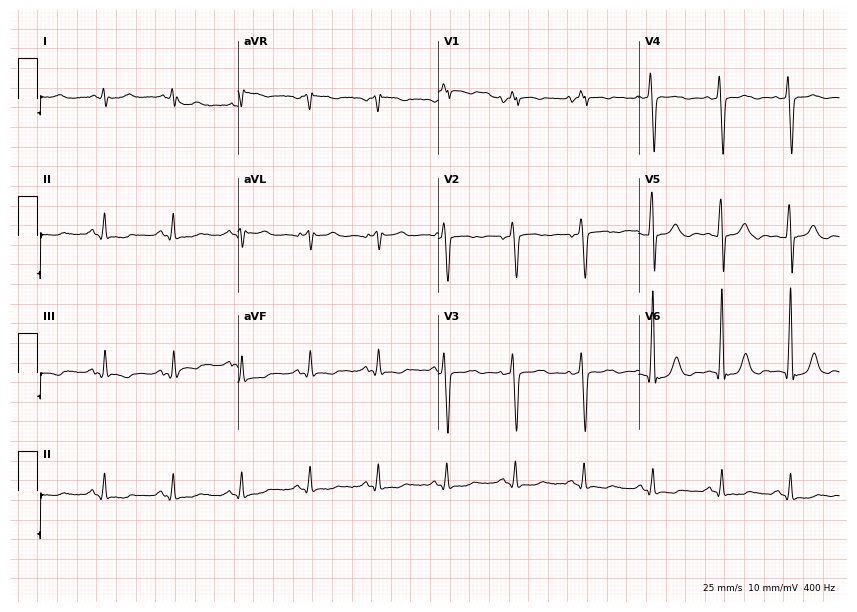
ECG (8.2-second recording at 400 Hz) — a man, 81 years old. Screened for six findings — first-degree AV block, right bundle branch block, left bundle branch block, sinus bradycardia, atrial fibrillation, sinus tachycardia — none is recorded. Other findings, if any, are not listed.